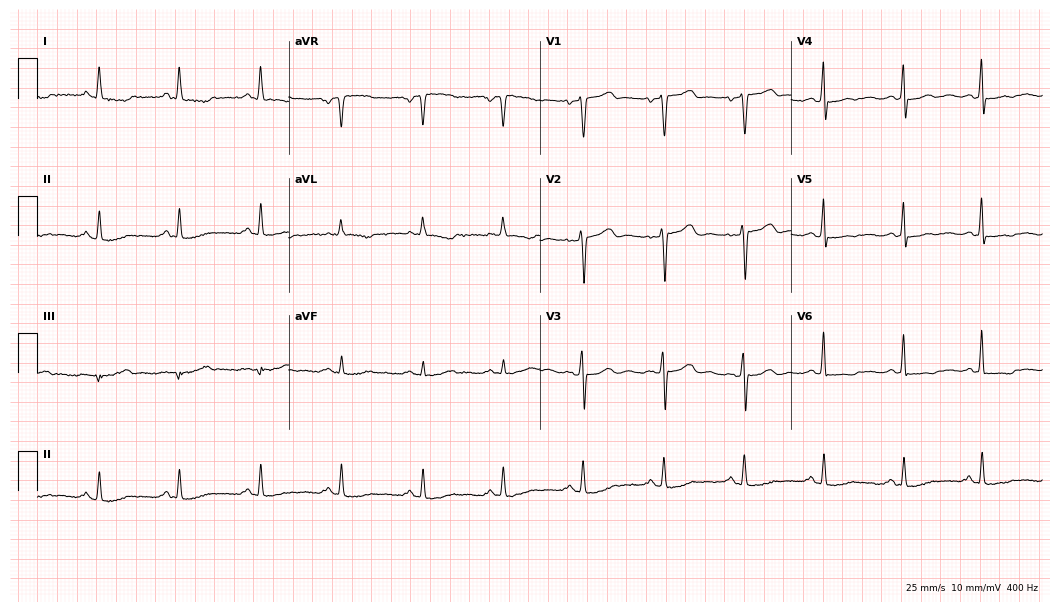
Electrocardiogram (10.2-second recording at 400 Hz), a woman, 56 years old. Of the six screened findings (first-degree AV block, right bundle branch block, left bundle branch block, sinus bradycardia, atrial fibrillation, sinus tachycardia), none is recorded.